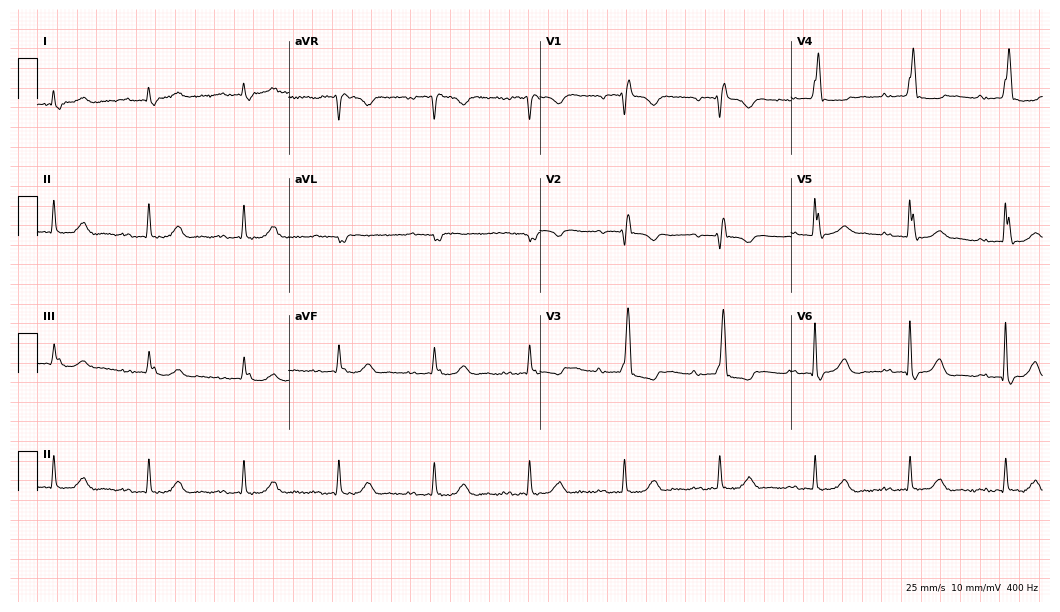
Electrocardiogram, an 86-year-old man. Interpretation includes first-degree AV block, right bundle branch block (RBBB).